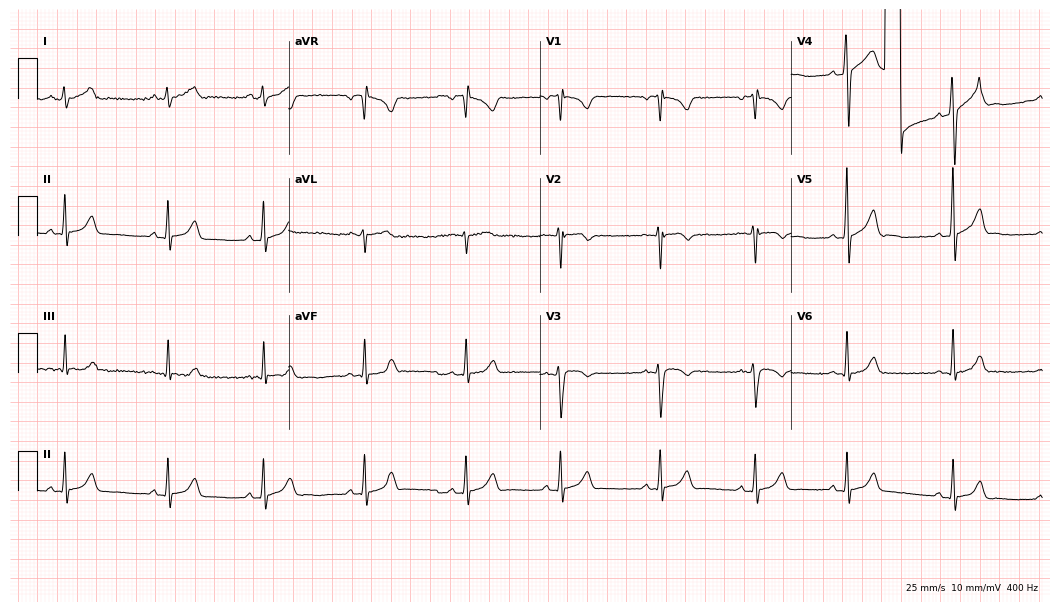
12-lead ECG from a 17-year-old male patient. Screened for six findings — first-degree AV block, right bundle branch block, left bundle branch block, sinus bradycardia, atrial fibrillation, sinus tachycardia — none is recorded.